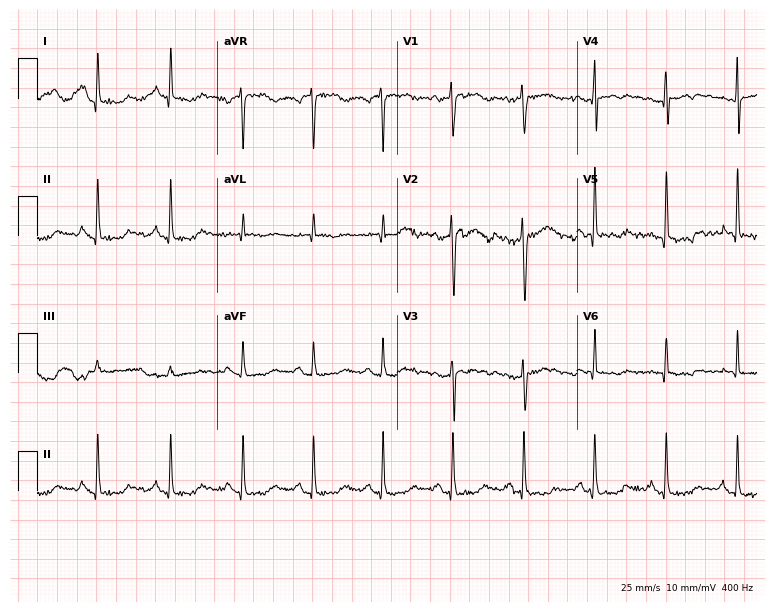
Electrocardiogram, a 70-year-old man. Of the six screened findings (first-degree AV block, right bundle branch block, left bundle branch block, sinus bradycardia, atrial fibrillation, sinus tachycardia), none is recorded. Only these six findings were labelled.